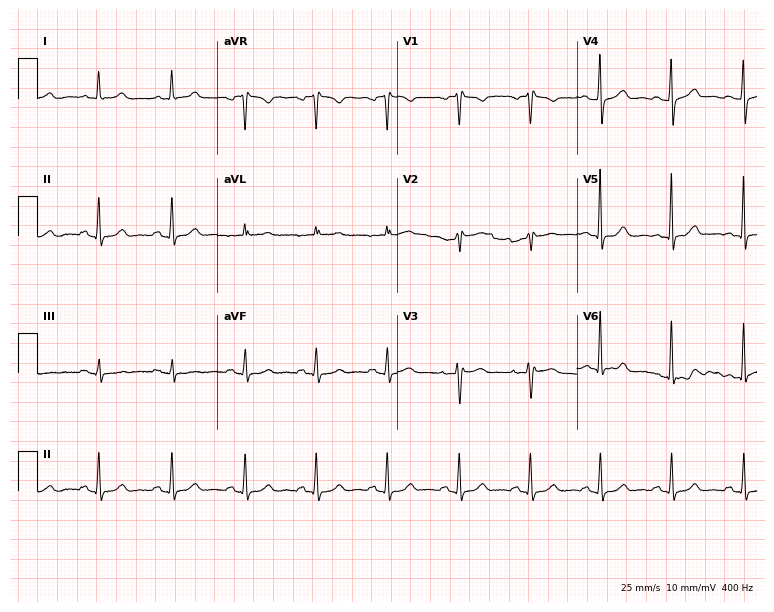
12-lead ECG (7.3-second recording at 400 Hz) from a 50-year-old woman. Screened for six findings — first-degree AV block, right bundle branch block, left bundle branch block, sinus bradycardia, atrial fibrillation, sinus tachycardia — none is recorded. Findings outside these six are not listed.